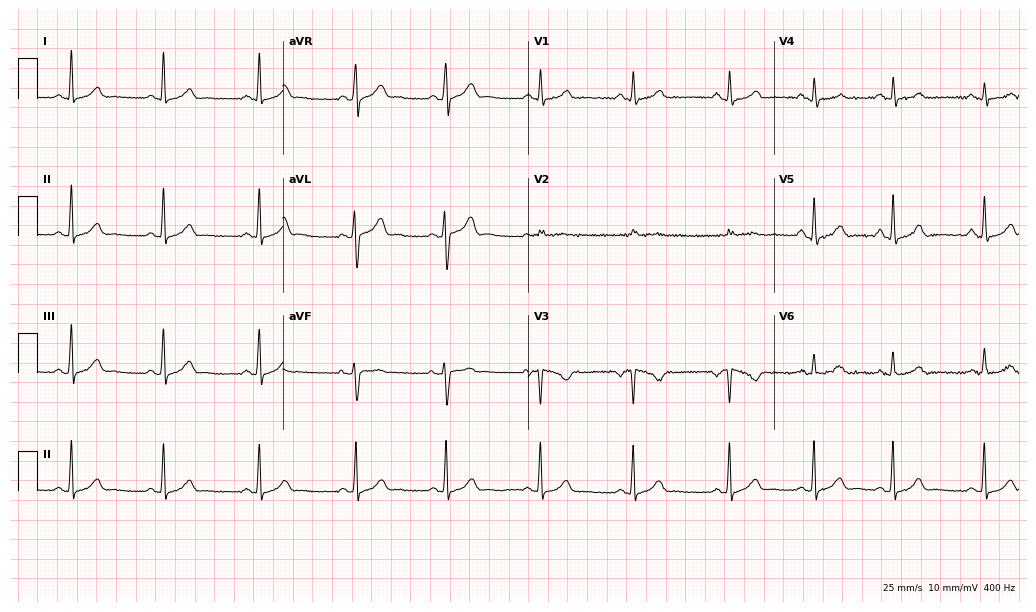
Standard 12-lead ECG recorded from a male patient, 38 years old. None of these six findings is recorded: first-degree AV block, right bundle branch block, left bundle branch block, sinus bradycardia, atrial fibrillation, sinus tachycardia.